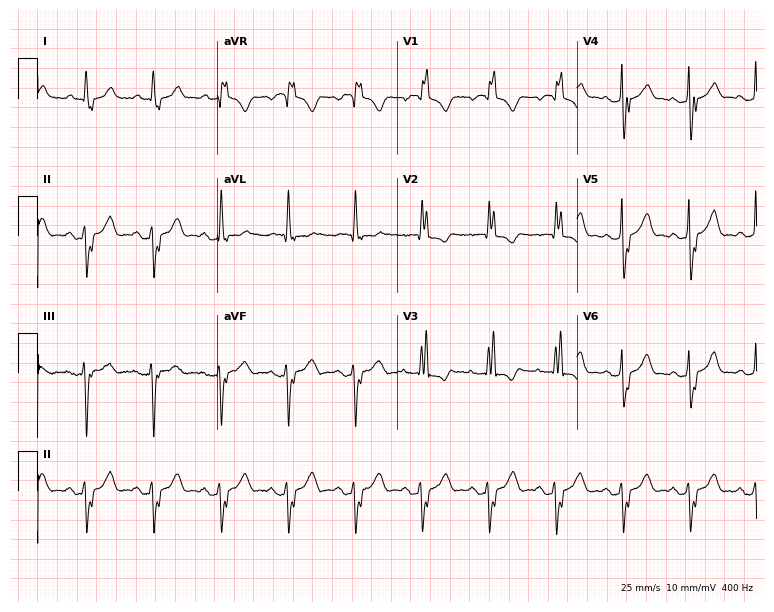
12-lead ECG from an 84-year-old female. No first-degree AV block, right bundle branch block, left bundle branch block, sinus bradycardia, atrial fibrillation or sinus tachycardia recorded for this tracing.